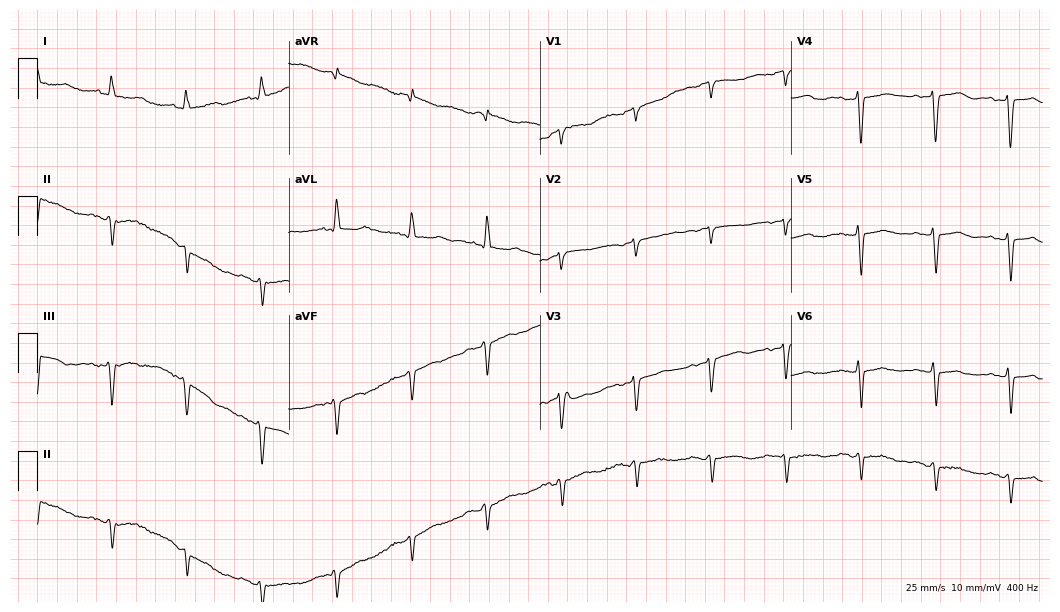
Standard 12-lead ECG recorded from a 63-year-old female patient (10.2-second recording at 400 Hz). None of these six findings is recorded: first-degree AV block, right bundle branch block, left bundle branch block, sinus bradycardia, atrial fibrillation, sinus tachycardia.